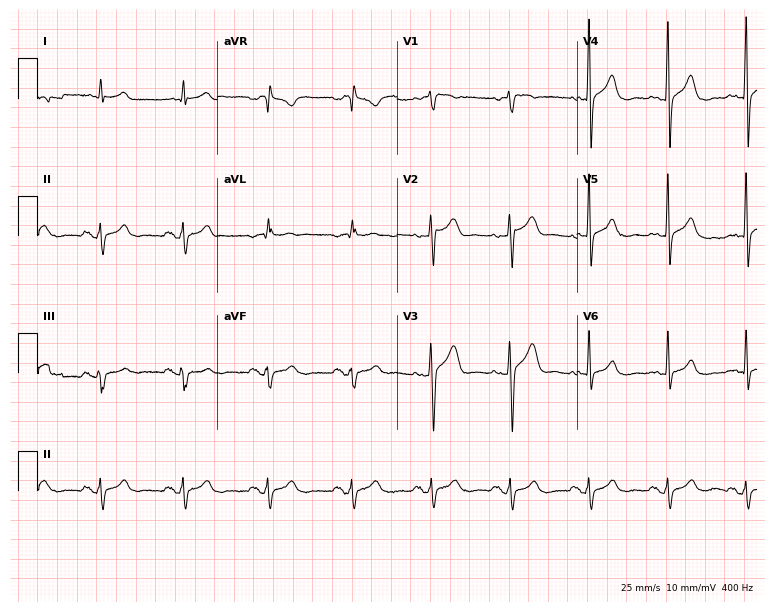
Resting 12-lead electrocardiogram (7.3-second recording at 400 Hz). Patient: a male, 40 years old. None of these six findings is recorded: first-degree AV block, right bundle branch block, left bundle branch block, sinus bradycardia, atrial fibrillation, sinus tachycardia. Only these six findings were labelled.